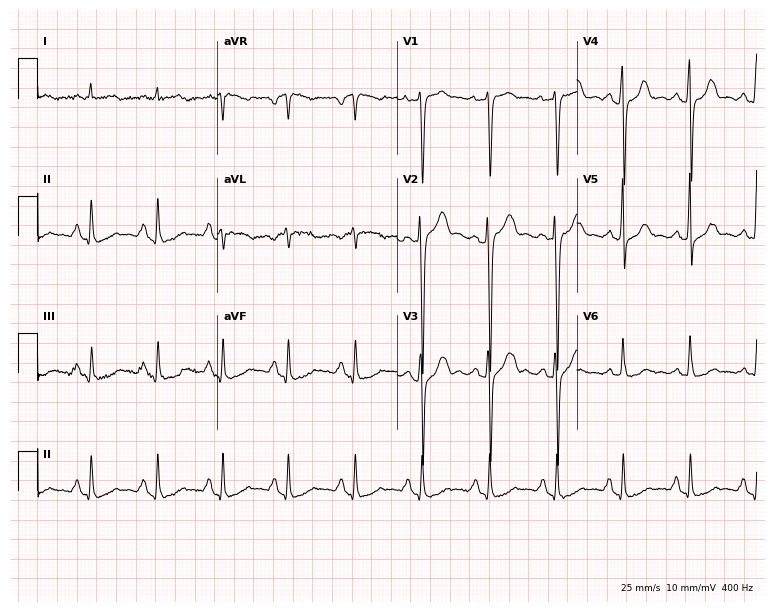
ECG — a 75-year-old male patient. Screened for six findings — first-degree AV block, right bundle branch block, left bundle branch block, sinus bradycardia, atrial fibrillation, sinus tachycardia — none is recorded.